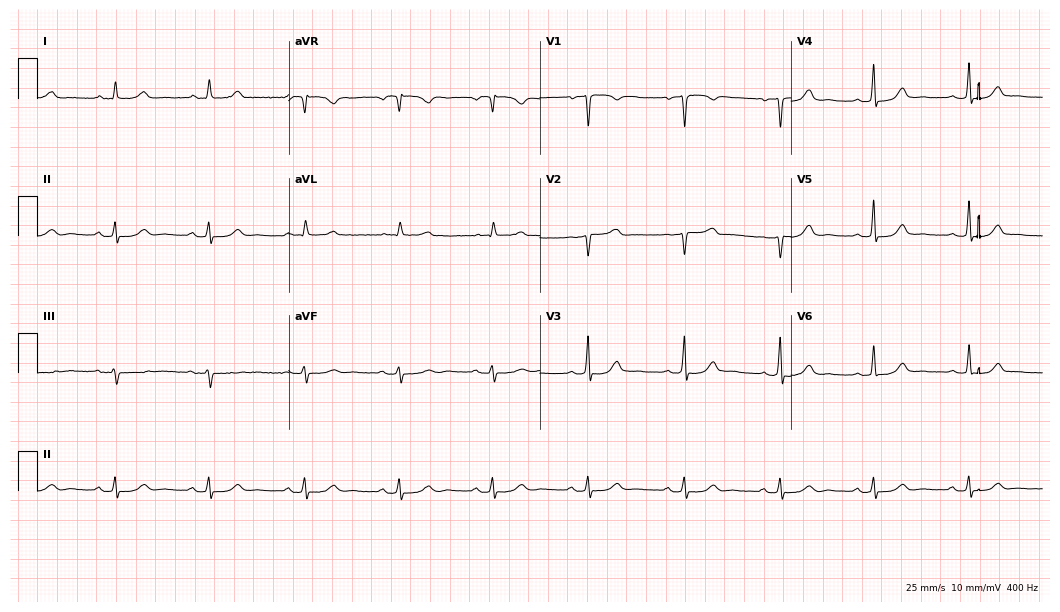
Electrocardiogram (10.2-second recording at 400 Hz), a female, 51 years old. Overall reading on record: normal ECG.